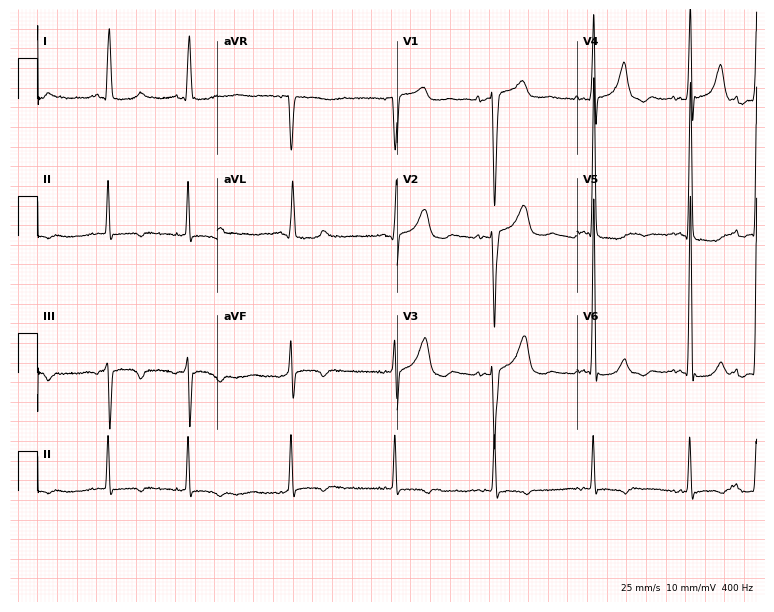
Electrocardiogram, an 84-year-old woman. Of the six screened findings (first-degree AV block, right bundle branch block, left bundle branch block, sinus bradycardia, atrial fibrillation, sinus tachycardia), none is recorded. Only these six findings were labelled.